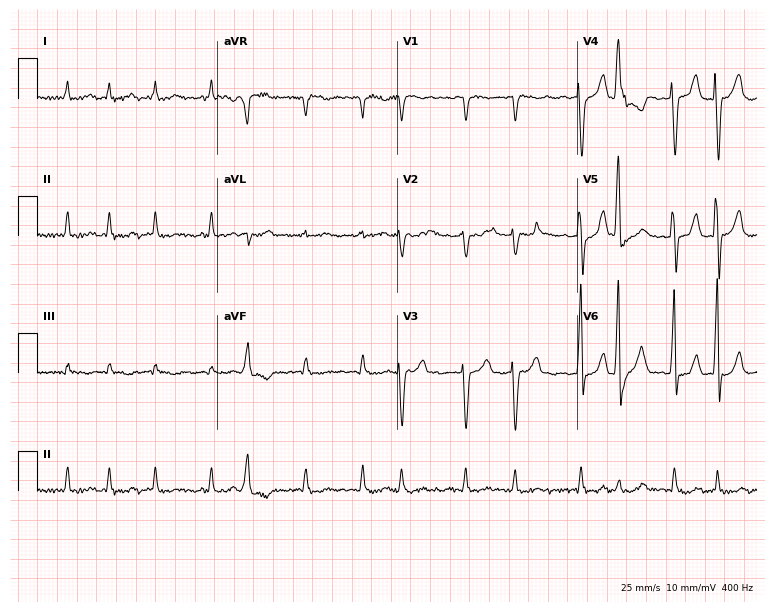
ECG — a male patient, 56 years old. Findings include atrial fibrillation.